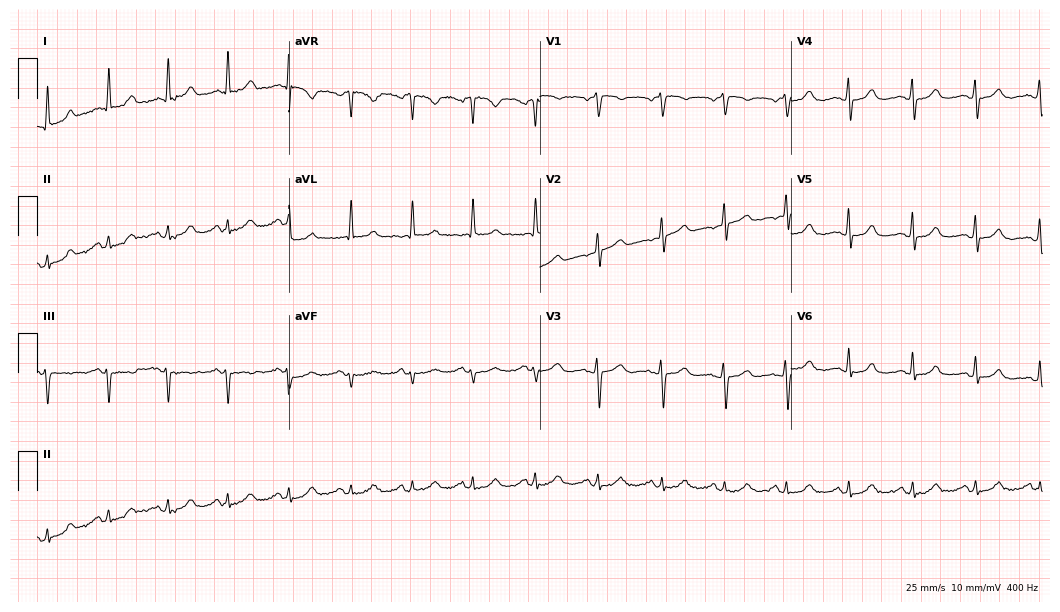
12-lead ECG from a female, 60 years old. No first-degree AV block, right bundle branch block (RBBB), left bundle branch block (LBBB), sinus bradycardia, atrial fibrillation (AF) or sinus tachycardia recorded for this tracing.